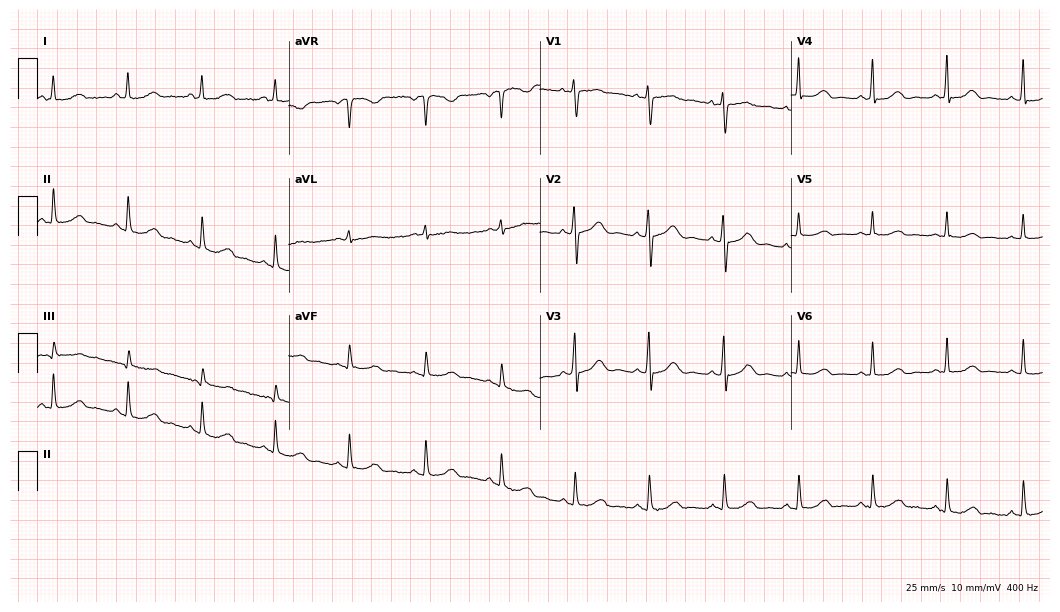
12-lead ECG (10.2-second recording at 400 Hz) from a 40-year-old female patient. Labelled as a normal ECG.